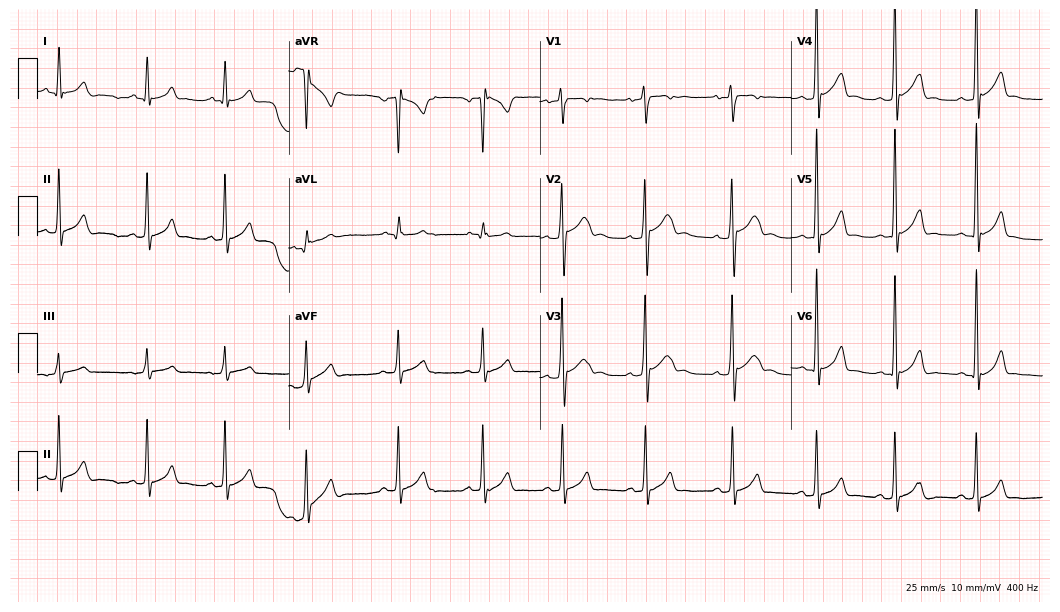
Resting 12-lead electrocardiogram (10.2-second recording at 400 Hz). Patient: a 17-year-old man. Read as a normal ECG.